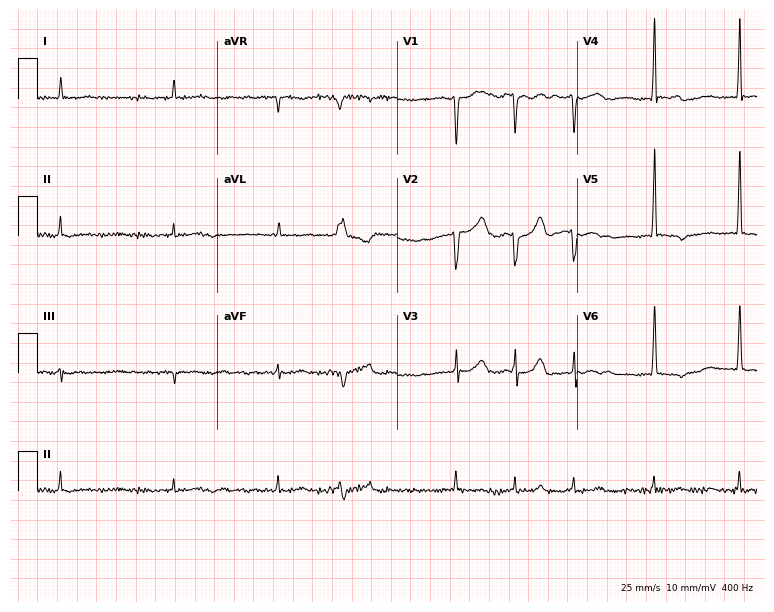
Resting 12-lead electrocardiogram (7.3-second recording at 400 Hz). Patient: a male, 84 years old. The tracing shows atrial fibrillation.